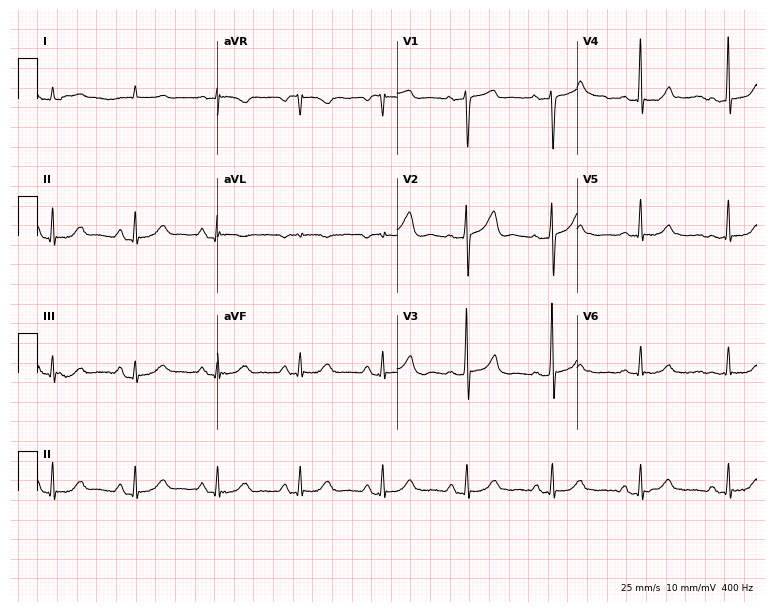
Standard 12-lead ECG recorded from a male, 76 years old (7.3-second recording at 400 Hz). None of these six findings is recorded: first-degree AV block, right bundle branch block, left bundle branch block, sinus bradycardia, atrial fibrillation, sinus tachycardia. Findings outside these six are not listed.